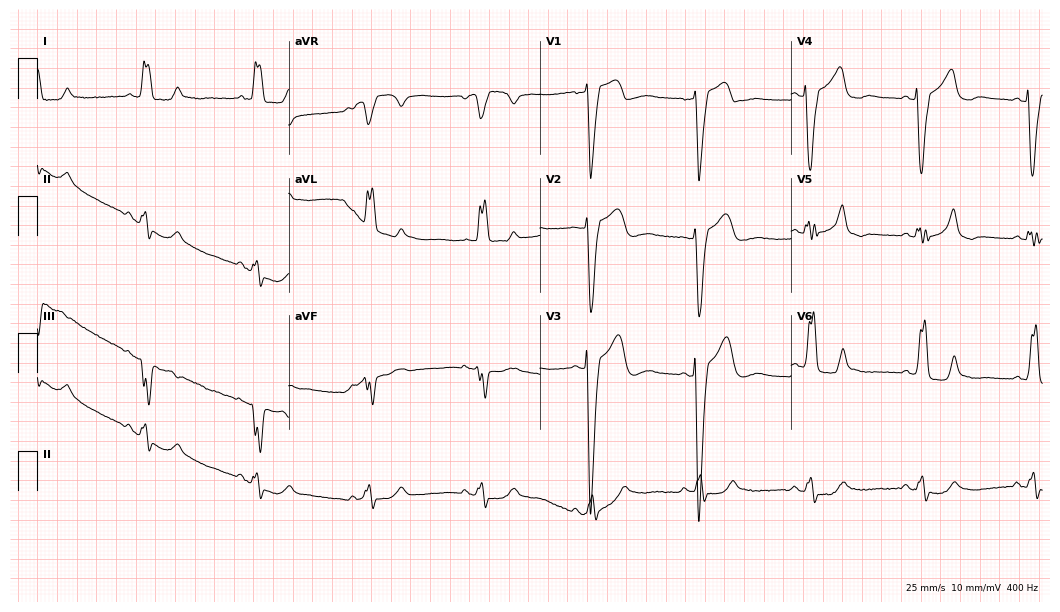
ECG — a woman, 73 years old. Findings include left bundle branch block.